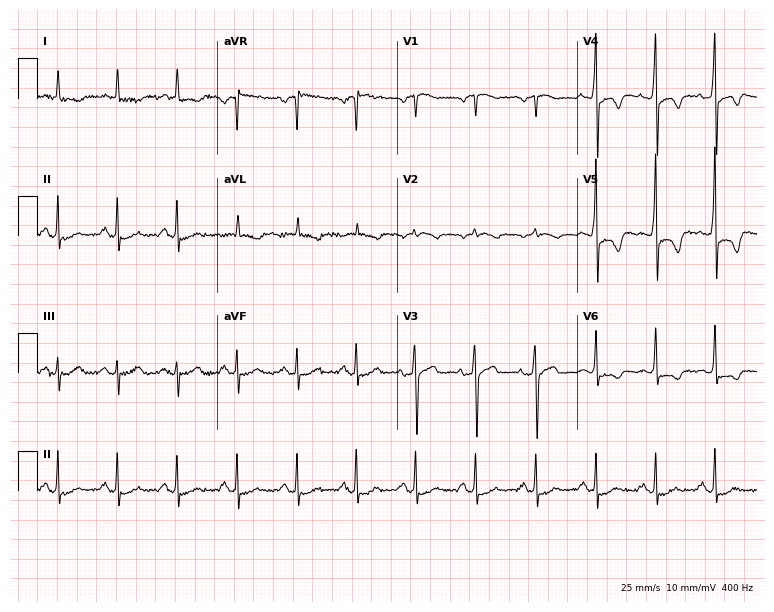
Electrocardiogram, an 80-year-old male patient. Of the six screened findings (first-degree AV block, right bundle branch block, left bundle branch block, sinus bradycardia, atrial fibrillation, sinus tachycardia), none is recorded.